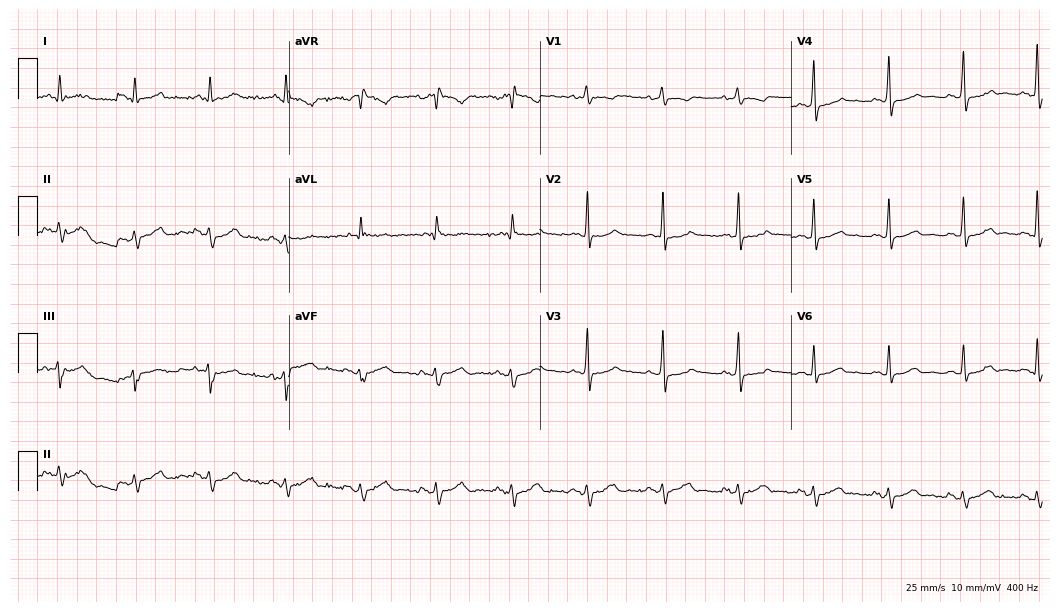
12-lead ECG from a 45-year-old male patient (10.2-second recording at 400 Hz). No first-degree AV block, right bundle branch block (RBBB), left bundle branch block (LBBB), sinus bradycardia, atrial fibrillation (AF) or sinus tachycardia recorded for this tracing. Other findings, if any, are not listed.